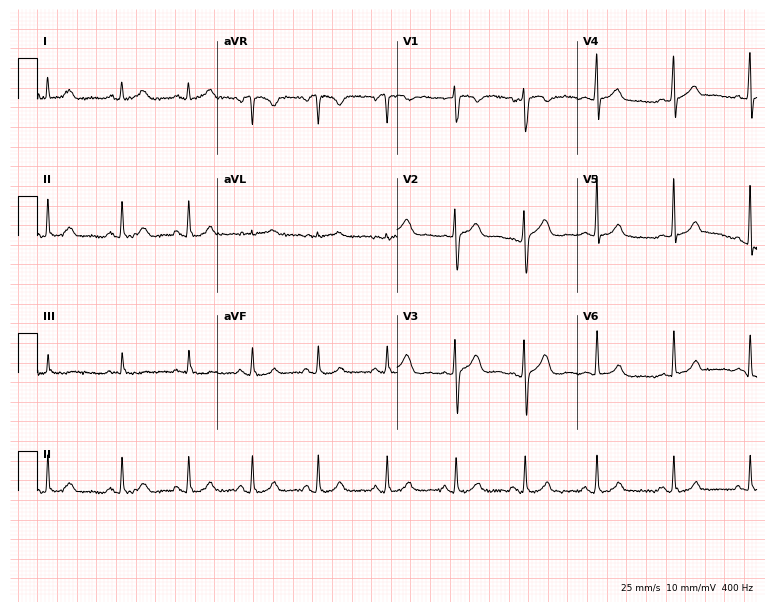
12-lead ECG from a female patient, 27 years old. Labelled as a normal ECG.